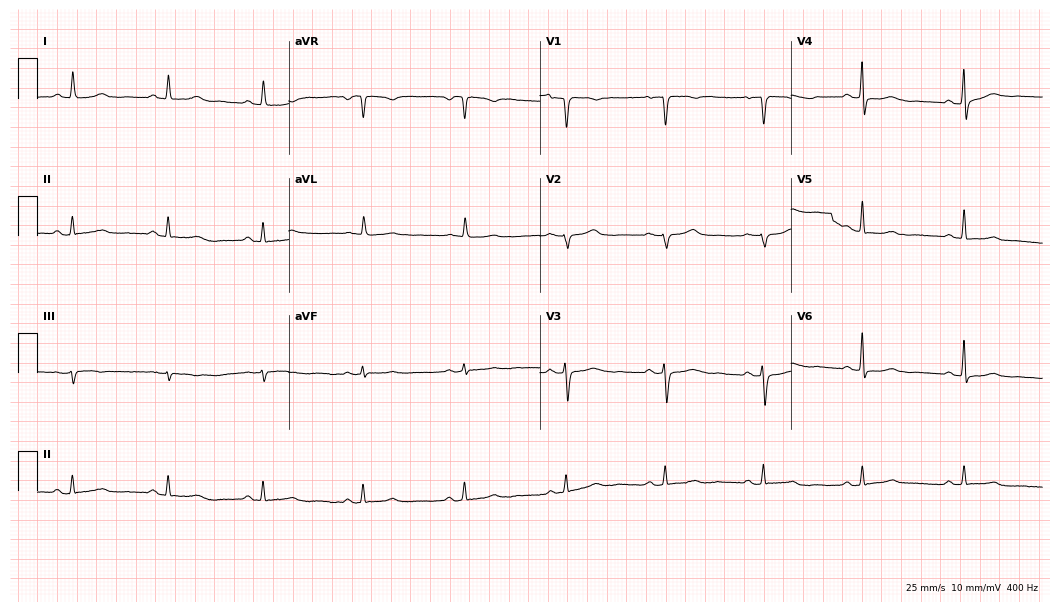
Resting 12-lead electrocardiogram (10.2-second recording at 400 Hz). Patient: a 63-year-old female. Read as a normal ECG.